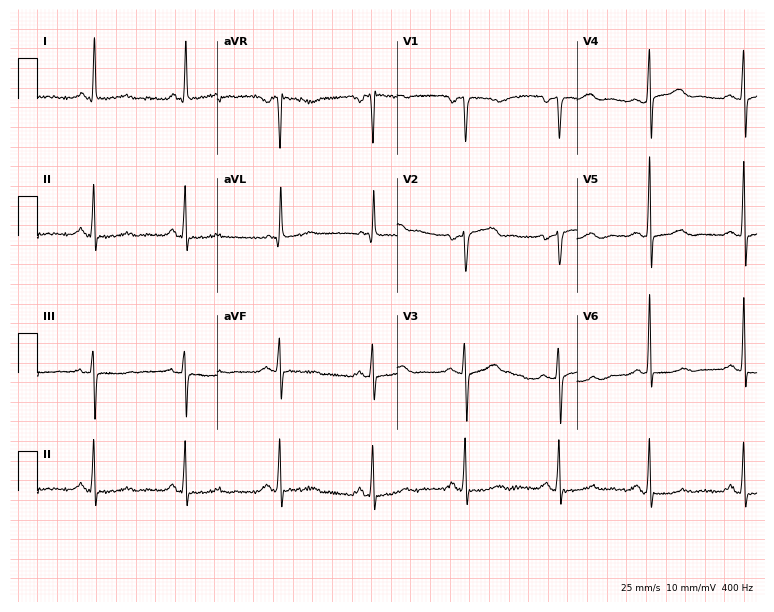
12-lead ECG from a woman, 67 years old. No first-degree AV block, right bundle branch block, left bundle branch block, sinus bradycardia, atrial fibrillation or sinus tachycardia recorded for this tracing.